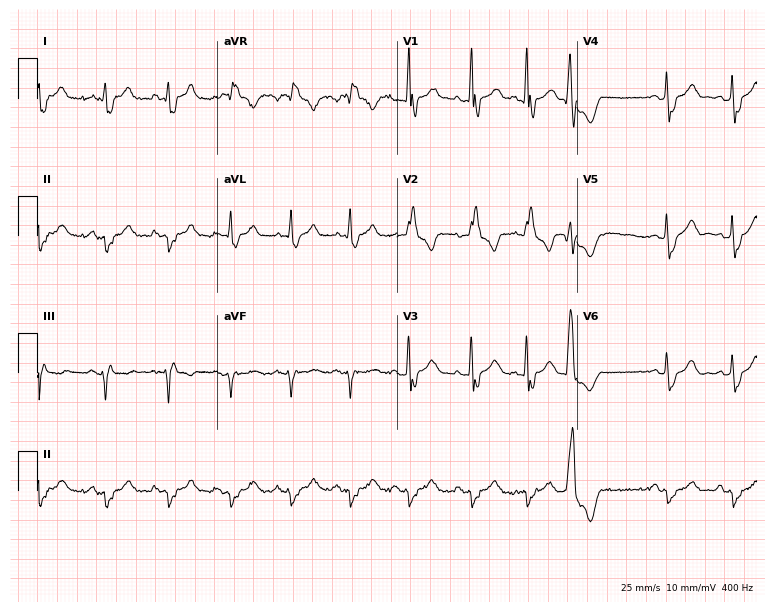
ECG (7.3-second recording at 400 Hz) — a 66-year-old man. Screened for six findings — first-degree AV block, right bundle branch block, left bundle branch block, sinus bradycardia, atrial fibrillation, sinus tachycardia — none is recorded.